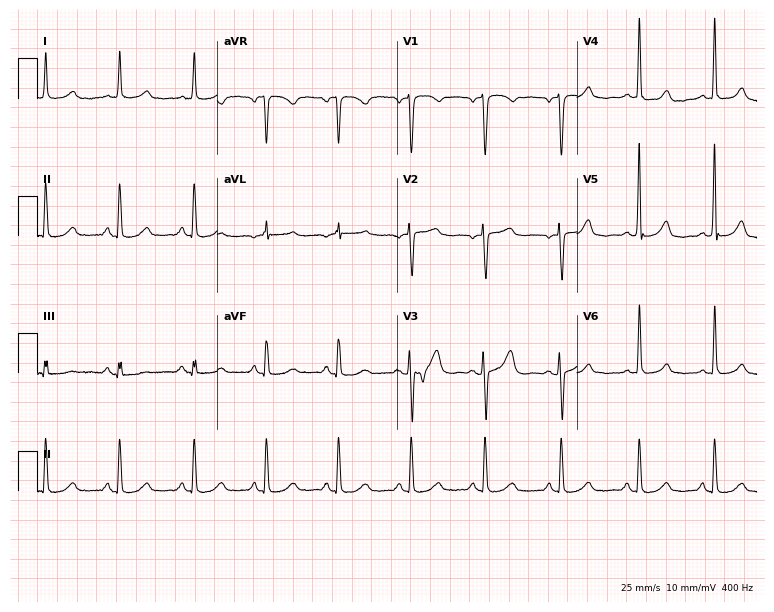
12-lead ECG from a female patient, 52 years old. Recorded interpretation: within normal limits.